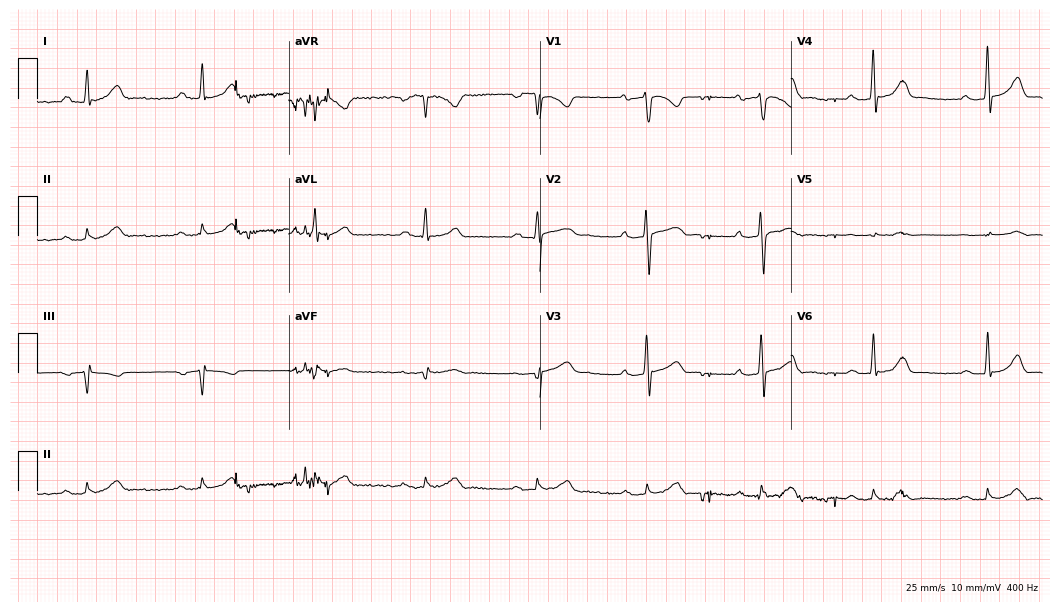
Resting 12-lead electrocardiogram (10.2-second recording at 400 Hz). Patient: a male, 45 years old. None of these six findings is recorded: first-degree AV block, right bundle branch block, left bundle branch block, sinus bradycardia, atrial fibrillation, sinus tachycardia.